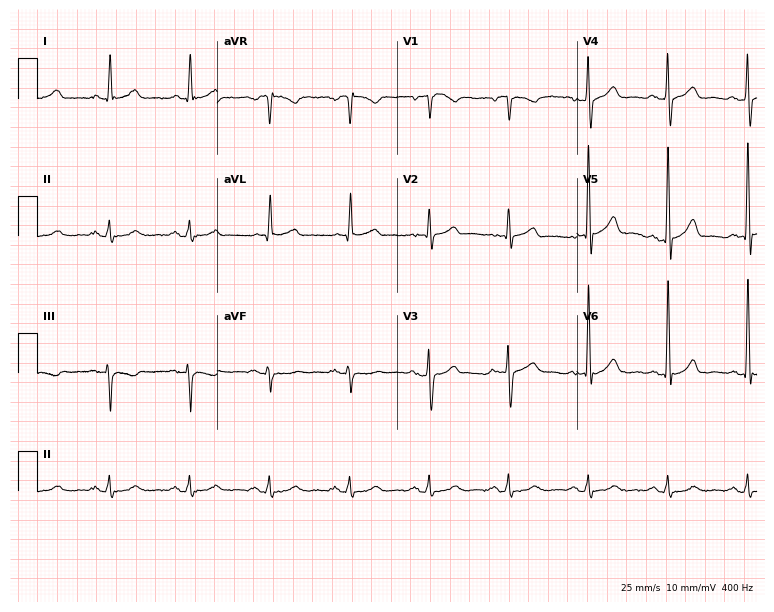
ECG — a 64-year-old male patient. Labelled as a normal ECG.